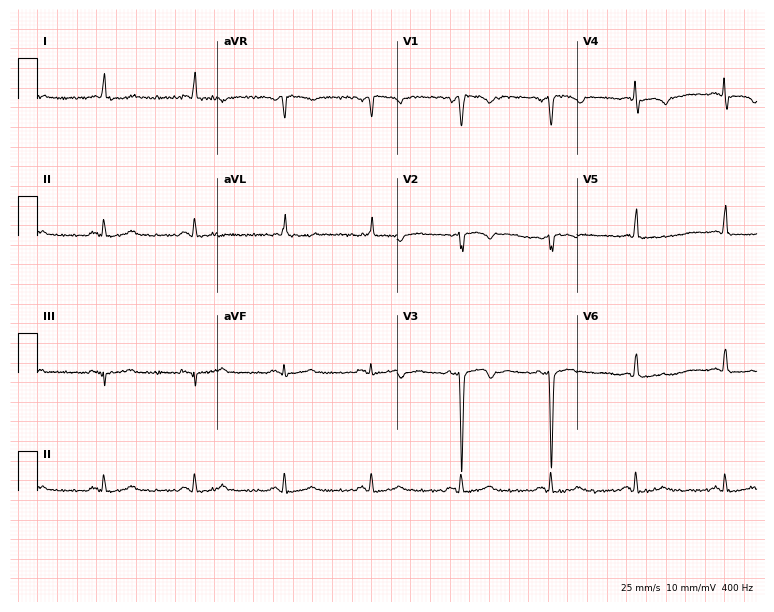
ECG (7.3-second recording at 400 Hz) — a 49-year-old woman. Labelled as a normal ECG.